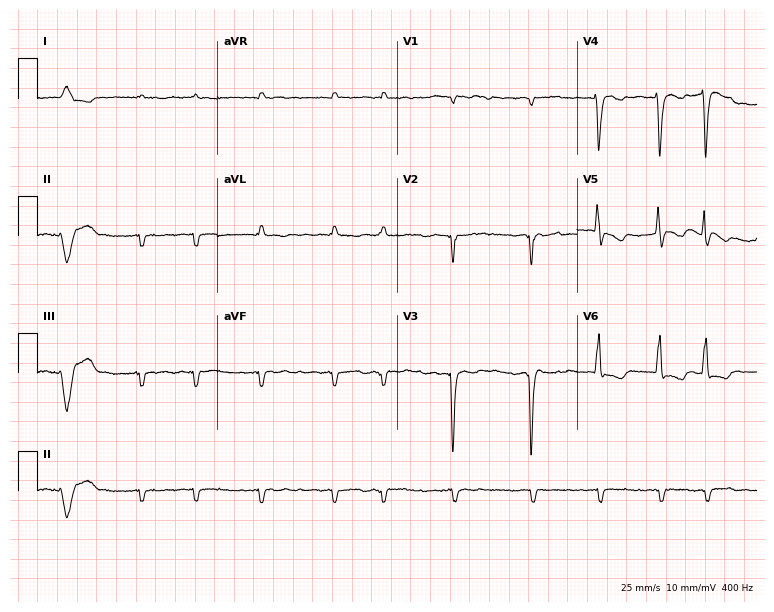
Resting 12-lead electrocardiogram (7.3-second recording at 400 Hz). Patient: an 84-year-old man. The tracing shows atrial fibrillation.